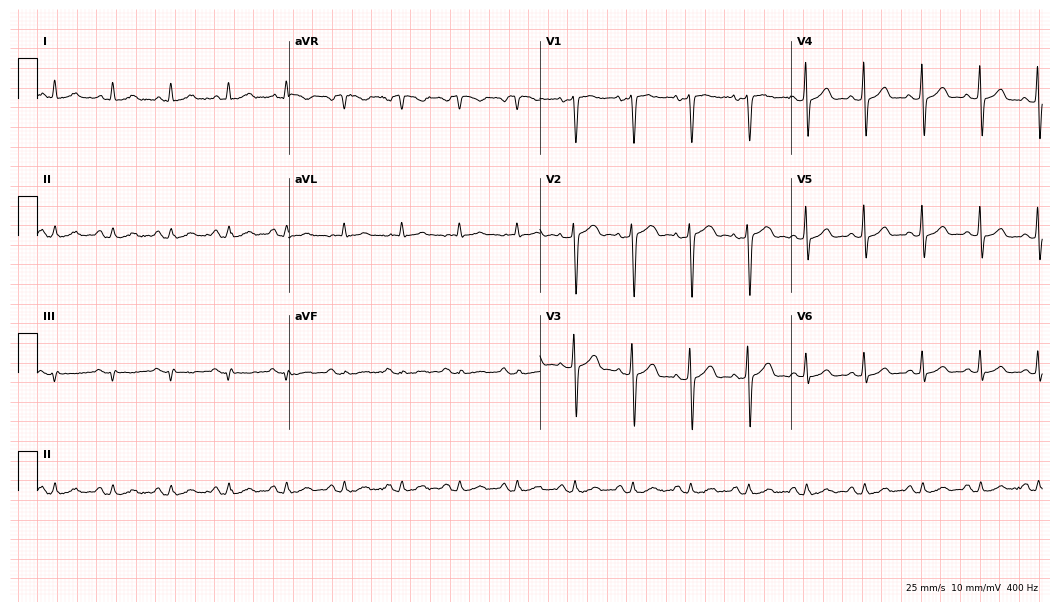
Standard 12-lead ECG recorded from a 48-year-old woman (10.2-second recording at 400 Hz). Read as a normal ECG.